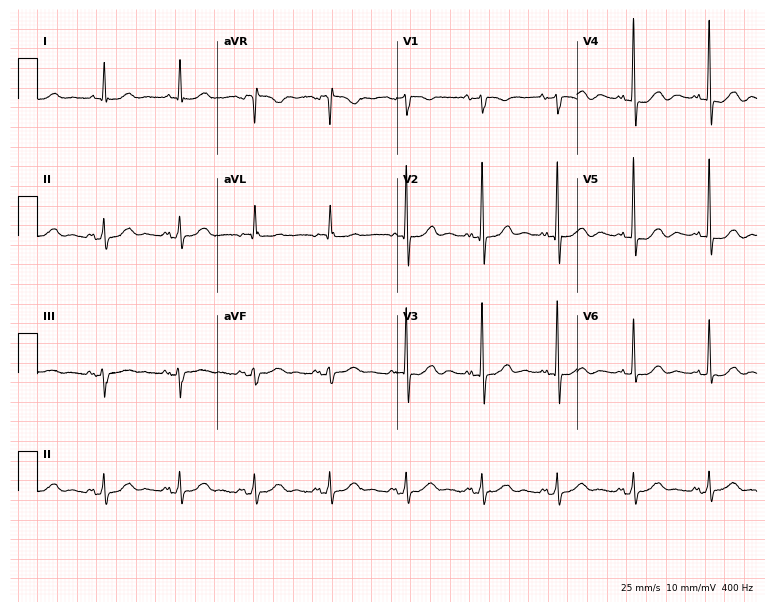
Standard 12-lead ECG recorded from a female, 83 years old. None of these six findings is recorded: first-degree AV block, right bundle branch block, left bundle branch block, sinus bradycardia, atrial fibrillation, sinus tachycardia. Other findings, if any, are not listed.